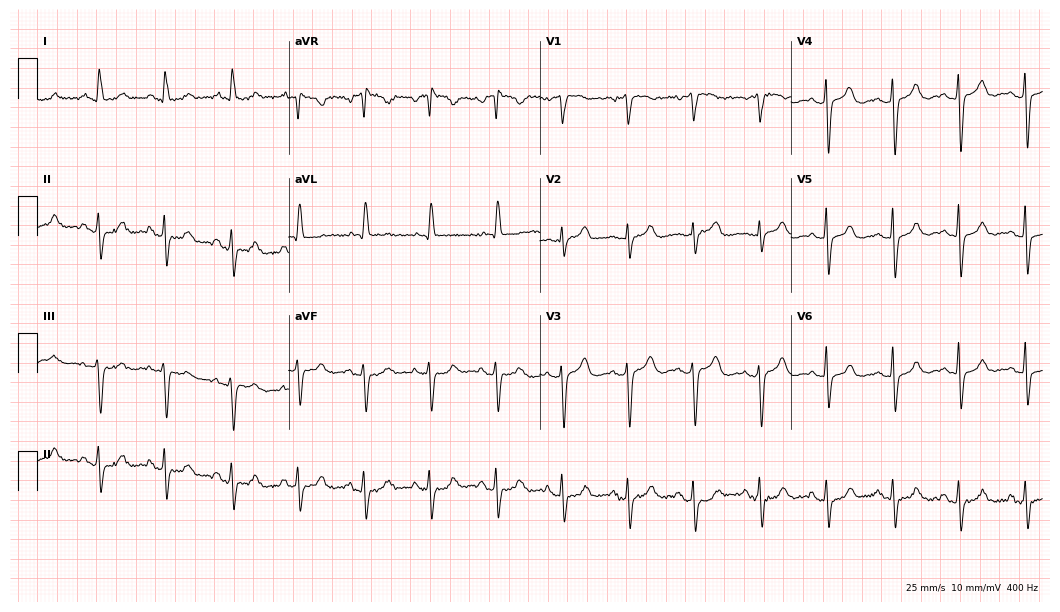
12-lead ECG from a female, 72 years old. No first-degree AV block, right bundle branch block, left bundle branch block, sinus bradycardia, atrial fibrillation or sinus tachycardia recorded for this tracing. Findings outside these six are not listed.